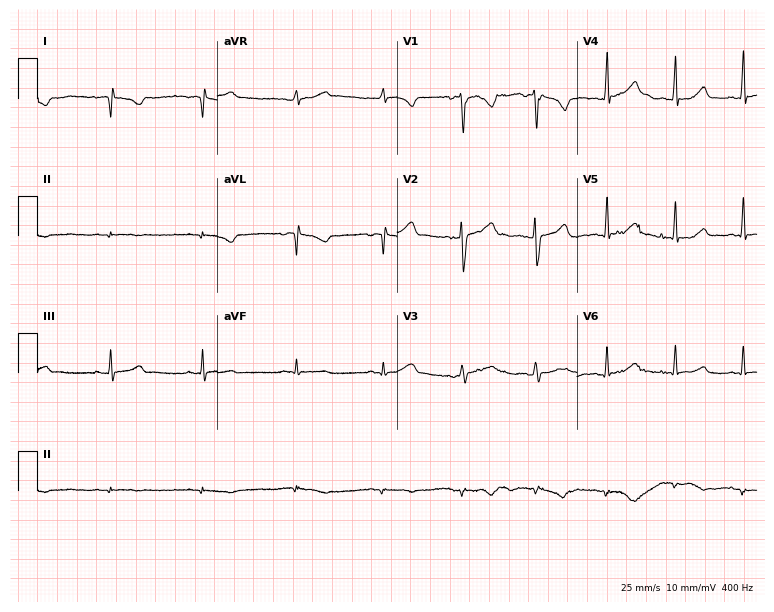
Electrocardiogram (7.3-second recording at 400 Hz), a 20-year-old woman. Of the six screened findings (first-degree AV block, right bundle branch block, left bundle branch block, sinus bradycardia, atrial fibrillation, sinus tachycardia), none is recorded. Only these six findings were labelled.